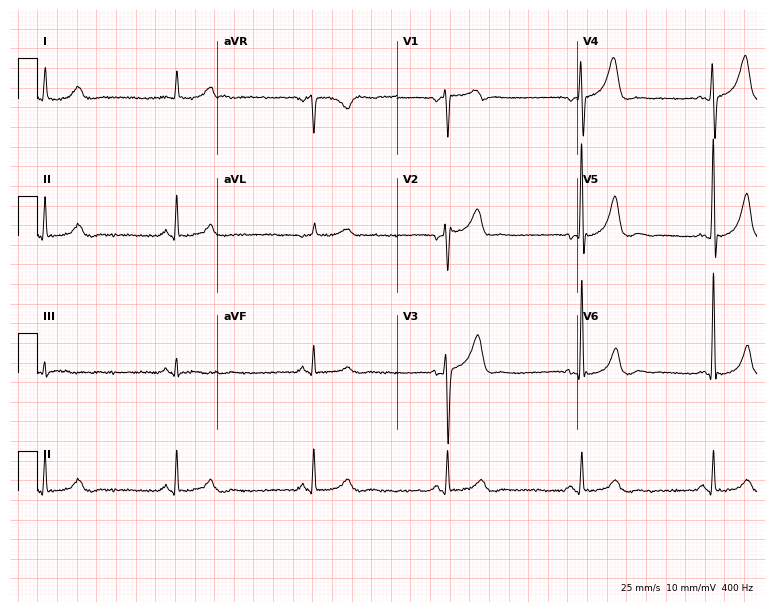
12-lead ECG from a 65-year-old male. Findings include sinus bradycardia (a sinus rate of 50 beats per minute or less).